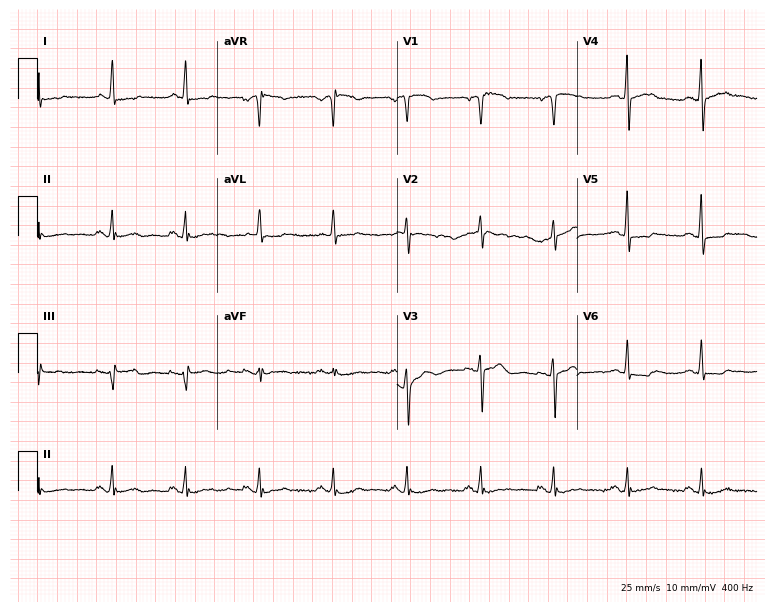
Electrocardiogram, a female, 64 years old. Overall reading on record: normal ECG.